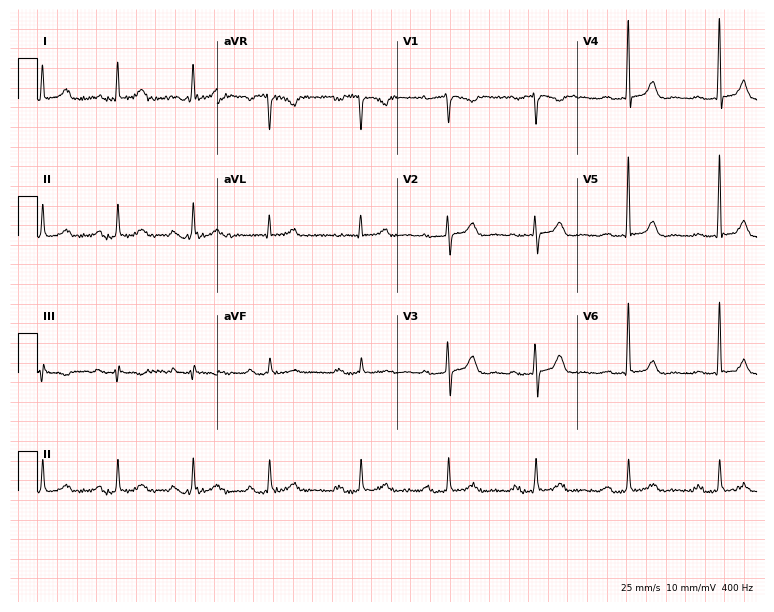
Electrocardiogram, a female, 62 years old. Interpretation includes first-degree AV block.